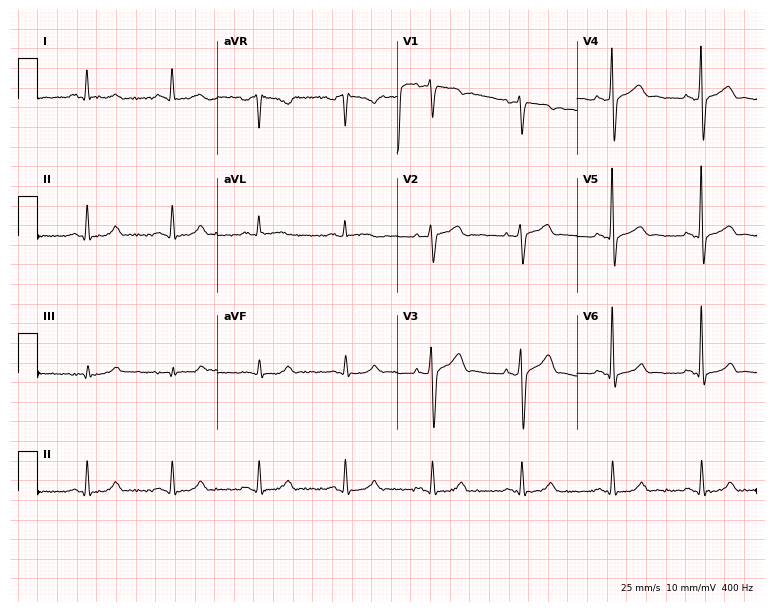
Electrocardiogram, a 56-year-old man. Of the six screened findings (first-degree AV block, right bundle branch block (RBBB), left bundle branch block (LBBB), sinus bradycardia, atrial fibrillation (AF), sinus tachycardia), none is recorded. Findings outside these six are not listed.